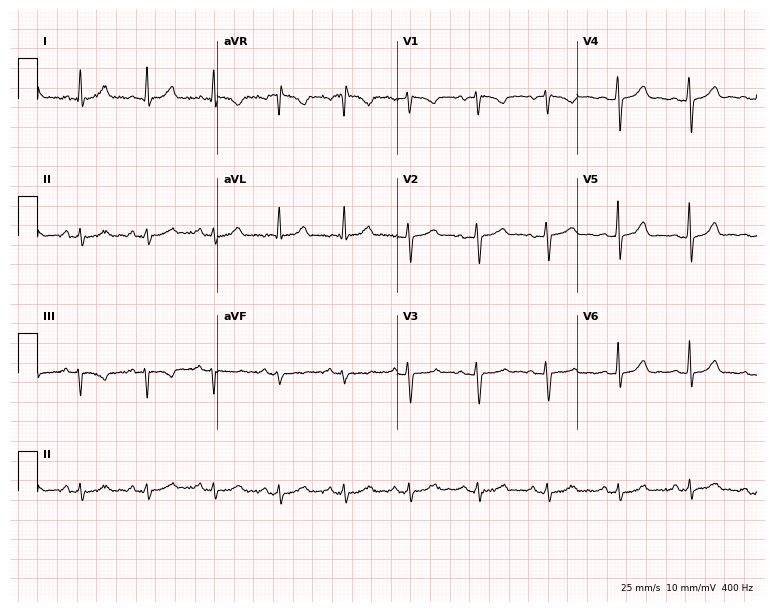
Resting 12-lead electrocardiogram. Patient: a 35-year-old female. None of these six findings is recorded: first-degree AV block, right bundle branch block, left bundle branch block, sinus bradycardia, atrial fibrillation, sinus tachycardia. Findings outside these six are not listed.